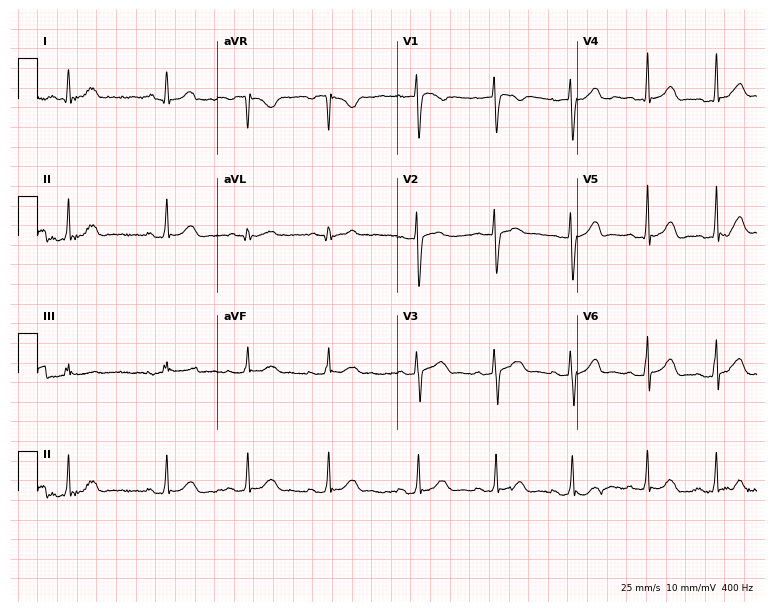
Resting 12-lead electrocardiogram (7.3-second recording at 400 Hz). Patient: a 22-year-old female. Read as a normal ECG.